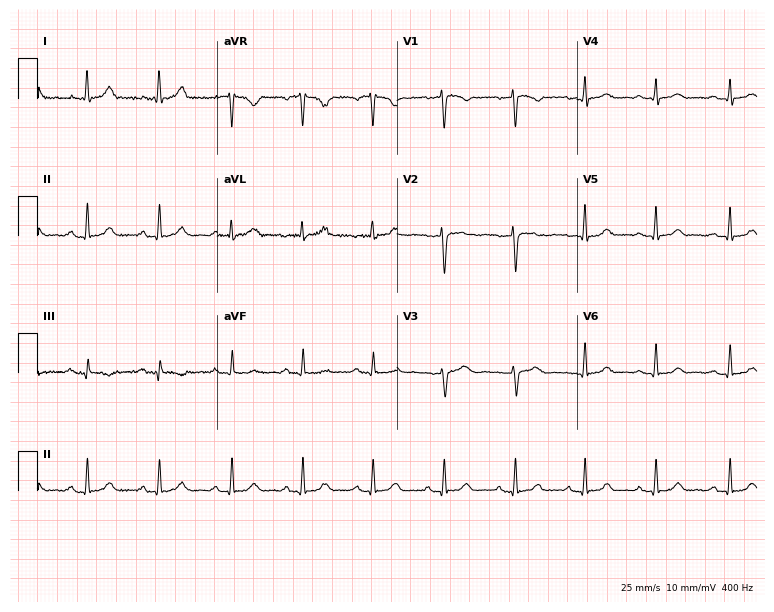
Electrocardiogram, a 45-year-old woman. Of the six screened findings (first-degree AV block, right bundle branch block, left bundle branch block, sinus bradycardia, atrial fibrillation, sinus tachycardia), none is recorded. Findings outside these six are not listed.